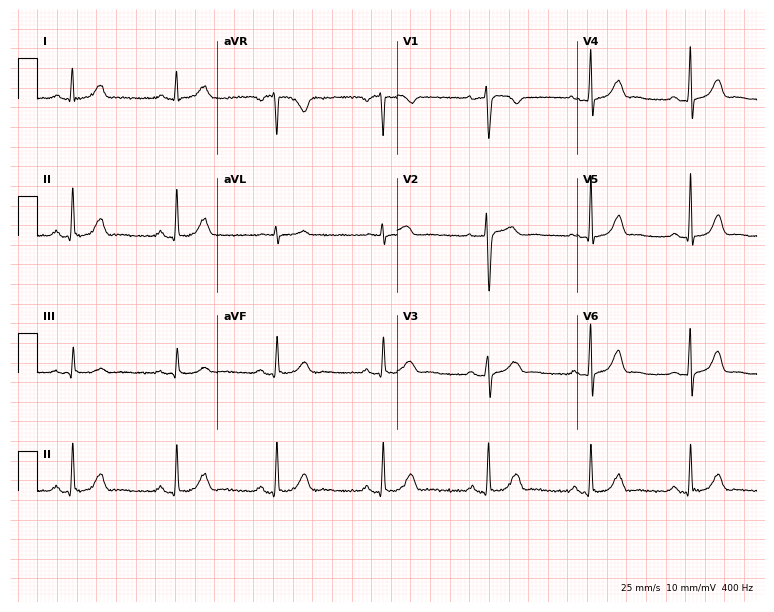
ECG (7.3-second recording at 400 Hz) — a 34-year-old female. Labelled as a normal ECG.